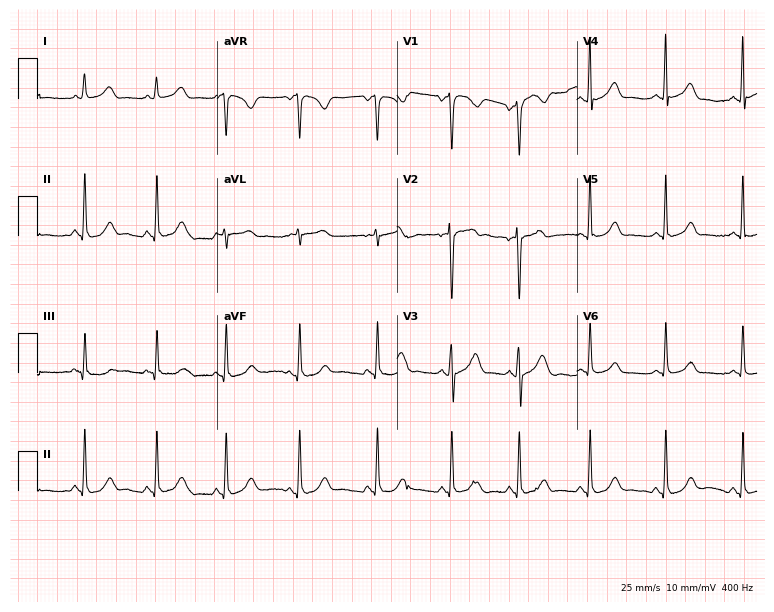
12-lead ECG from a male, 35 years old (7.3-second recording at 400 Hz). Recorded interpretation: within normal limits.